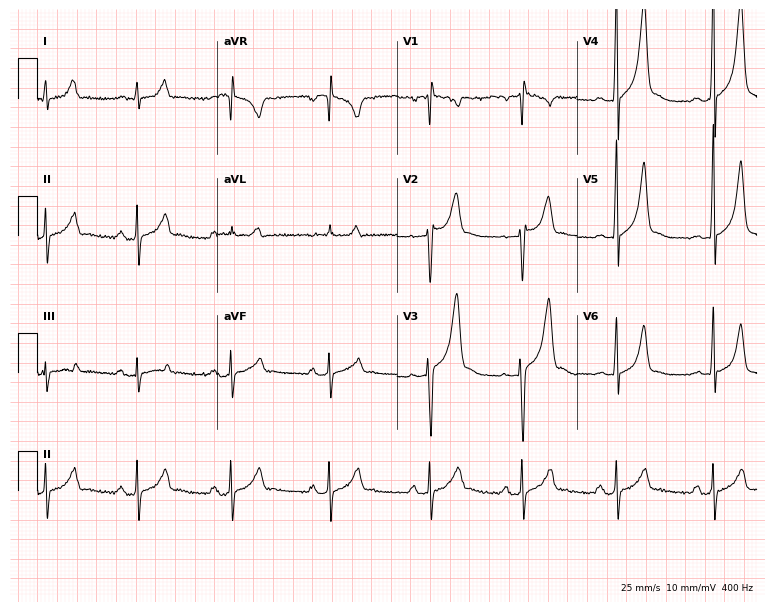
Electrocardiogram, a male patient, 31 years old. Of the six screened findings (first-degree AV block, right bundle branch block (RBBB), left bundle branch block (LBBB), sinus bradycardia, atrial fibrillation (AF), sinus tachycardia), none is recorded.